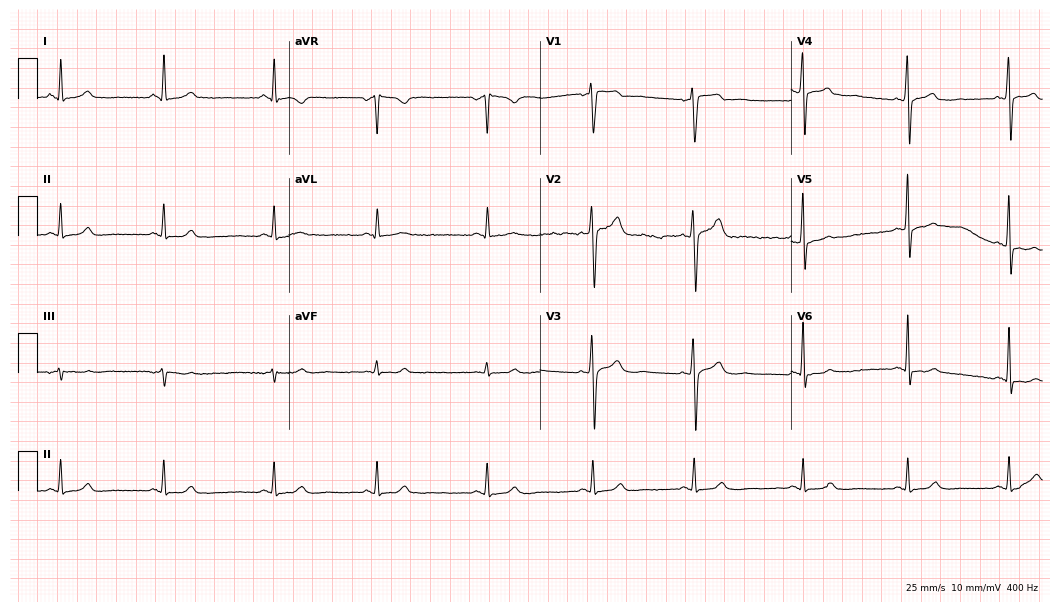
12-lead ECG from a 33-year-old male. No first-degree AV block, right bundle branch block (RBBB), left bundle branch block (LBBB), sinus bradycardia, atrial fibrillation (AF) or sinus tachycardia recorded for this tracing. Only these six findings were labelled.